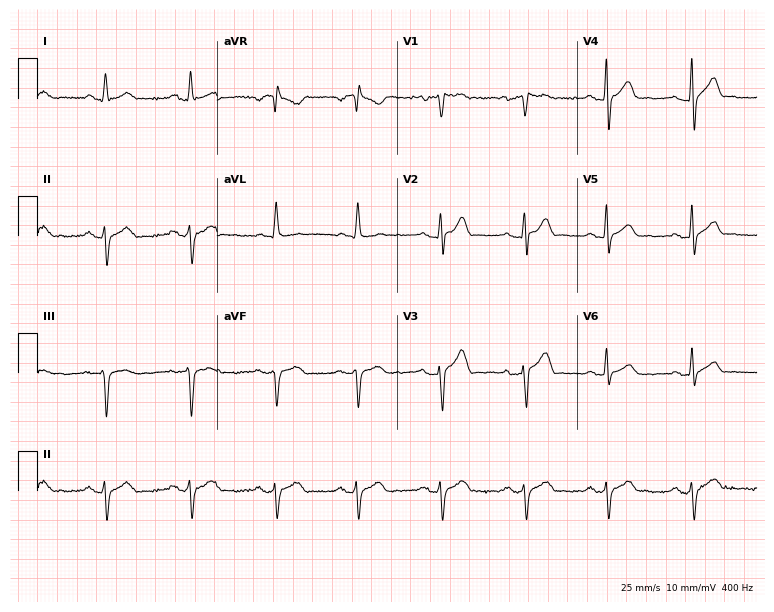
Standard 12-lead ECG recorded from a 44-year-old male. None of these six findings is recorded: first-degree AV block, right bundle branch block, left bundle branch block, sinus bradycardia, atrial fibrillation, sinus tachycardia.